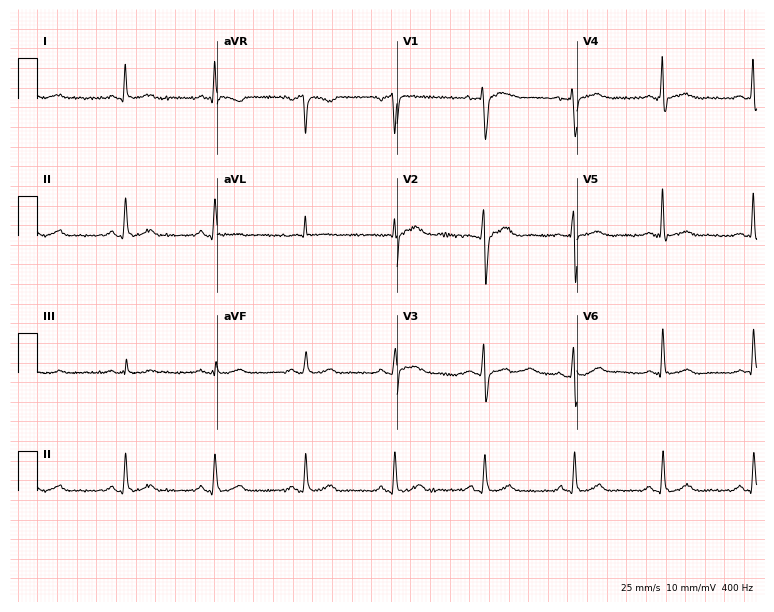
Resting 12-lead electrocardiogram. Patient: a male, 50 years old. Read as a normal ECG.